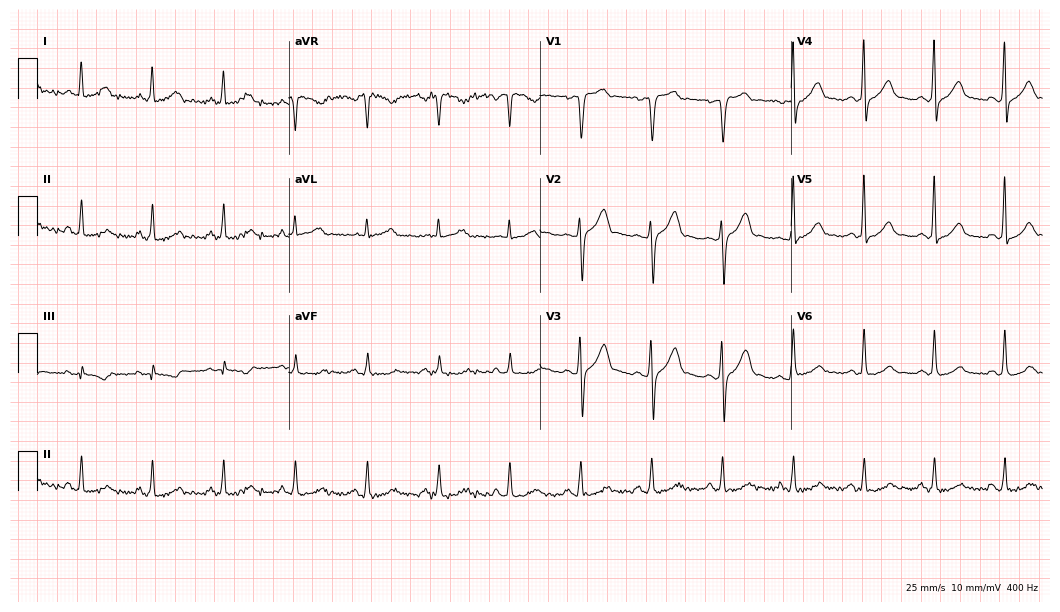
Standard 12-lead ECG recorded from a male patient, 49 years old (10.2-second recording at 400 Hz). Read as a normal ECG.